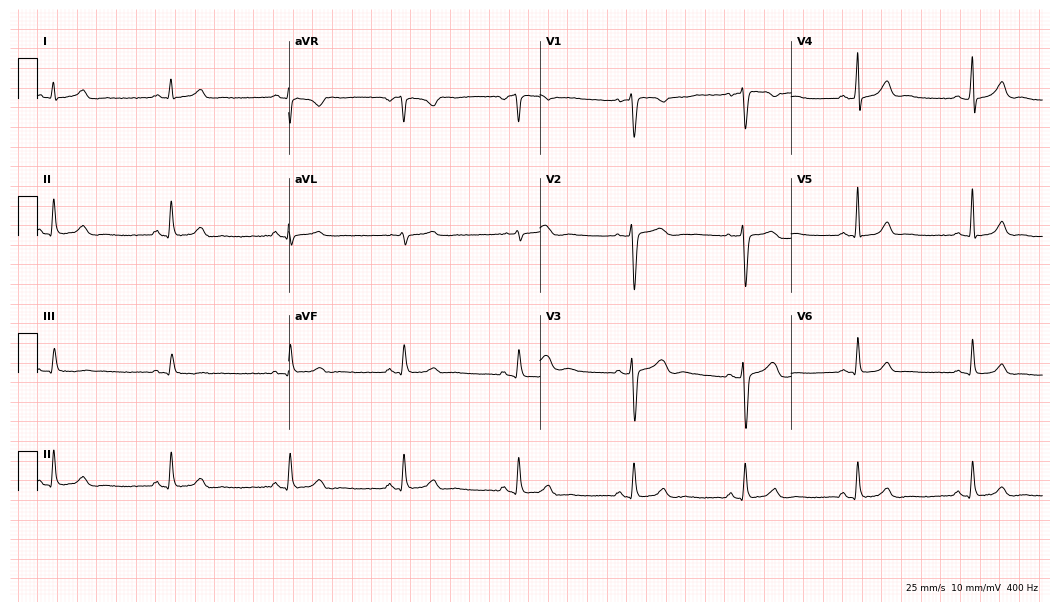
Resting 12-lead electrocardiogram. Patient: a female, 39 years old. None of these six findings is recorded: first-degree AV block, right bundle branch block (RBBB), left bundle branch block (LBBB), sinus bradycardia, atrial fibrillation (AF), sinus tachycardia. Only these six findings were labelled.